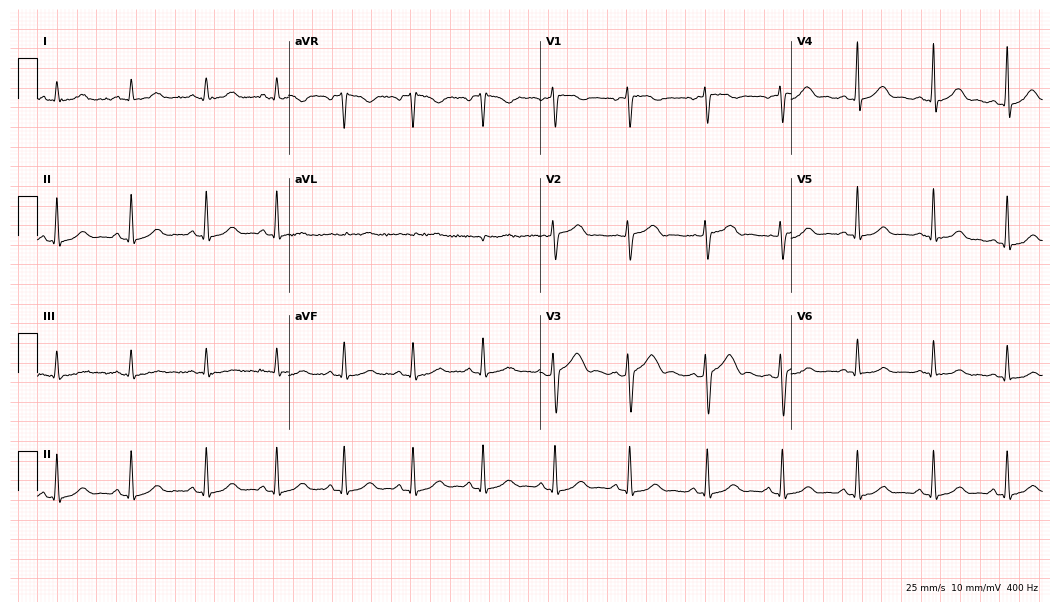
Electrocardiogram (10.2-second recording at 400 Hz), a 37-year-old man. Overall reading on record: normal ECG.